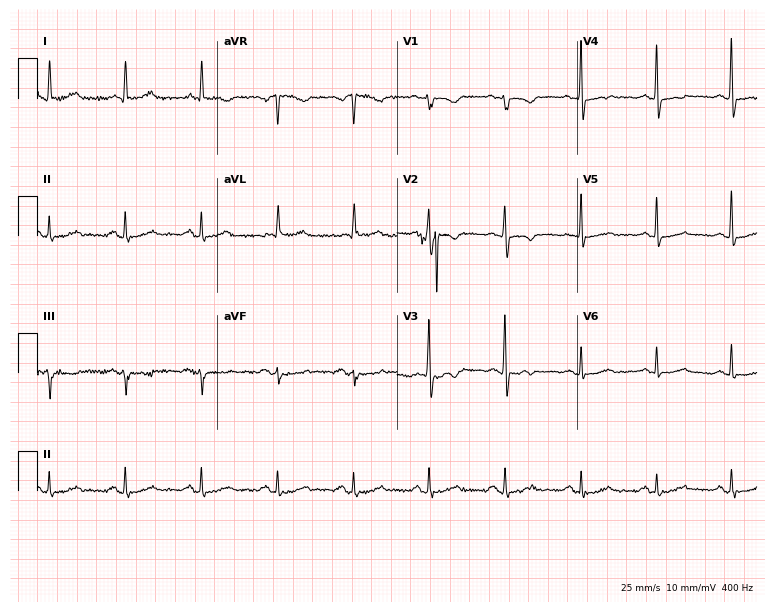
ECG (7.3-second recording at 400 Hz) — an 84-year-old female patient. Screened for six findings — first-degree AV block, right bundle branch block, left bundle branch block, sinus bradycardia, atrial fibrillation, sinus tachycardia — none is recorded. Other findings, if any, are not listed.